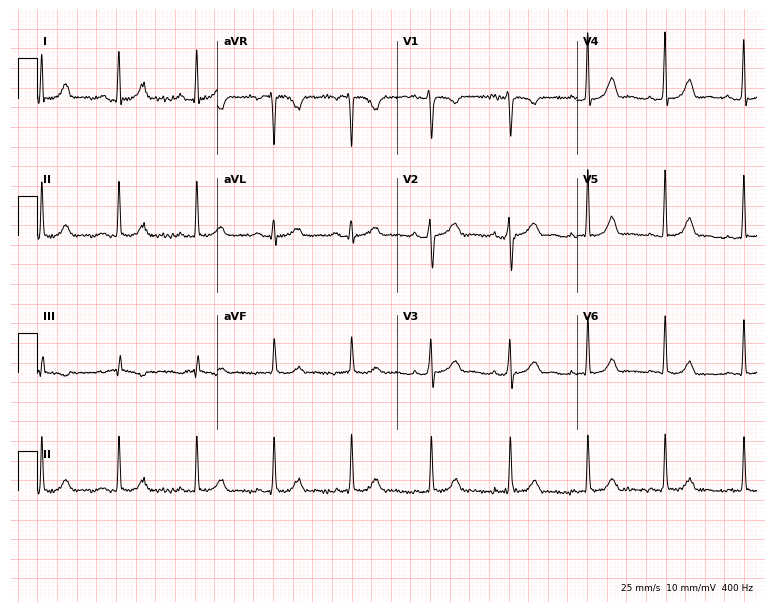
12-lead ECG from a female, 25 years old. Recorded interpretation: within normal limits.